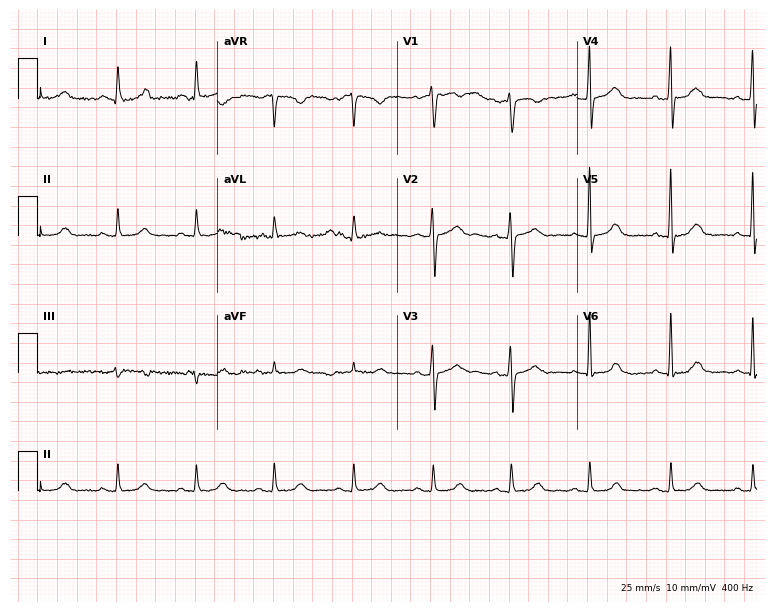
Electrocardiogram, a 48-year-old female patient. Of the six screened findings (first-degree AV block, right bundle branch block (RBBB), left bundle branch block (LBBB), sinus bradycardia, atrial fibrillation (AF), sinus tachycardia), none is recorded.